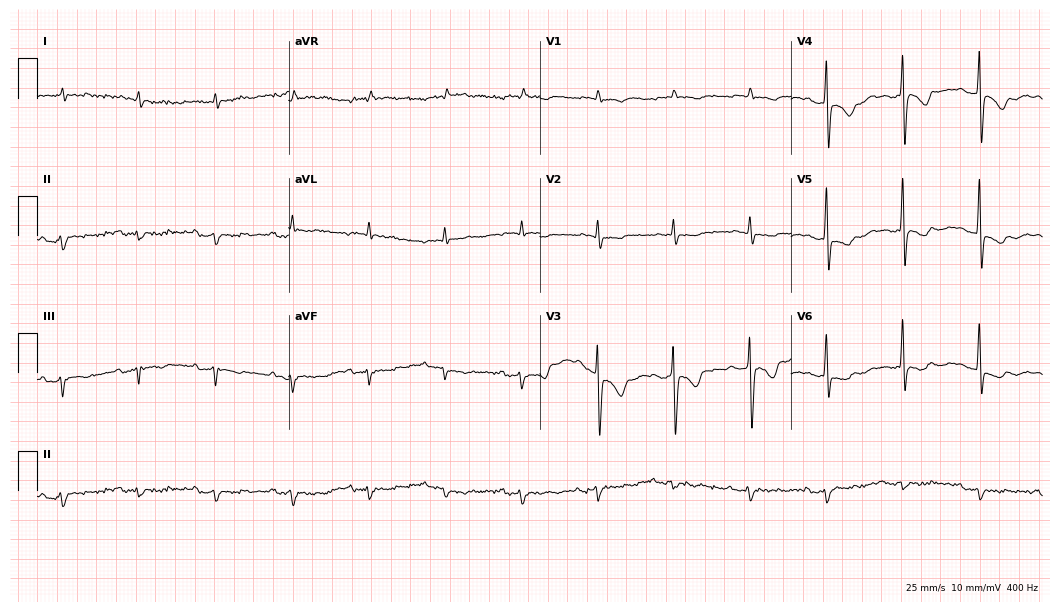
Standard 12-lead ECG recorded from an 82-year-old male. None of these six findings is recorded: first-degree AV block, right bundle branch block (RBBB), left bundle branch block (LBBB), sinus bradycardia, atrial fibrillation (AF), sinus tachycardia. Only these six findings were labelled.